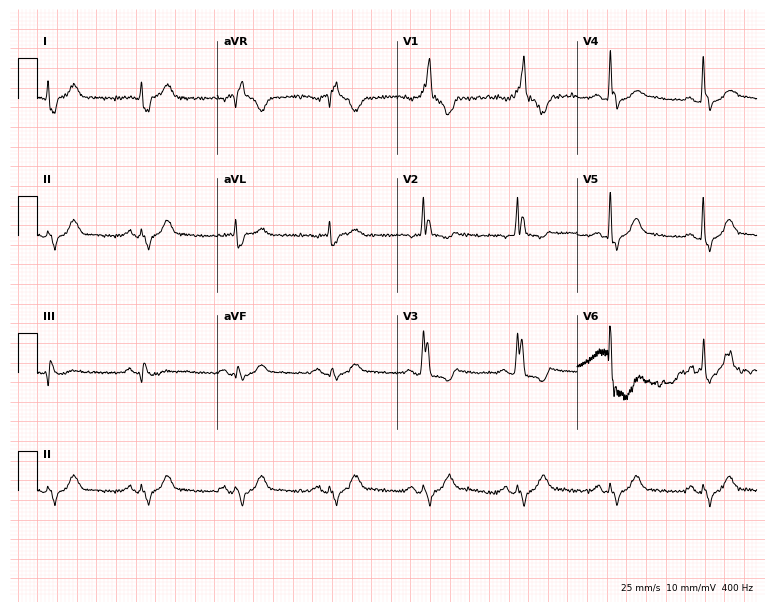
Resting 12-lead electrocardiogram (7.3-second recording at 400 Hz). Patient: a male, 76 years old. The tracing shows right bundle branch block.